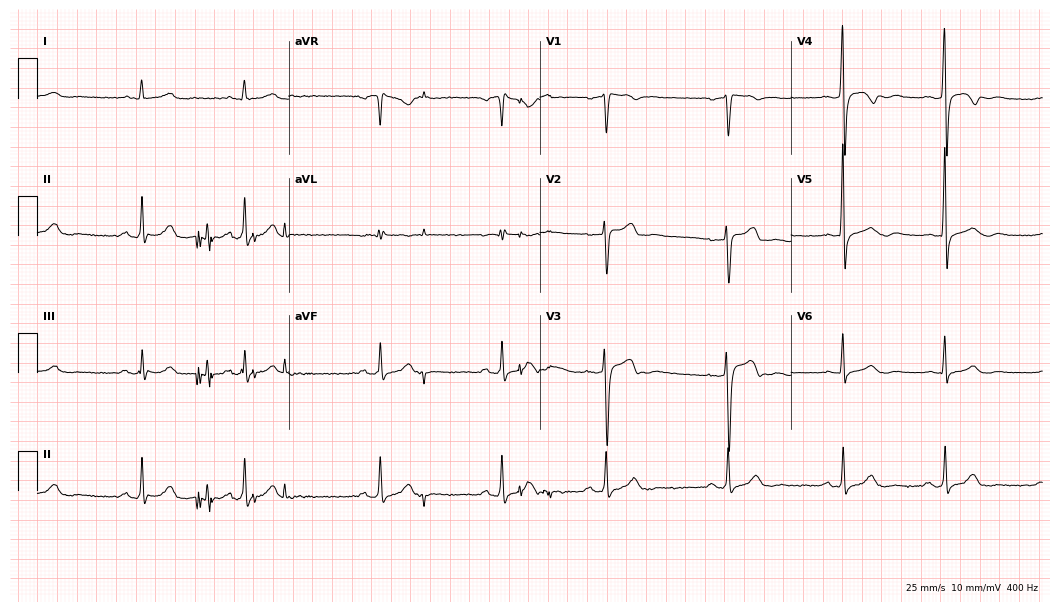
Resting 12-lead electrocardiogram (10.2-second recording at 400 Hz). Patient: a 31-year-old male. None of these six findings is recorded: first-degree AV block, right bundle branch block (RBBB), left bundle branch block (LBBB), sinus bradycardia, atrial fibrillation (AF), sinus tachycardia.